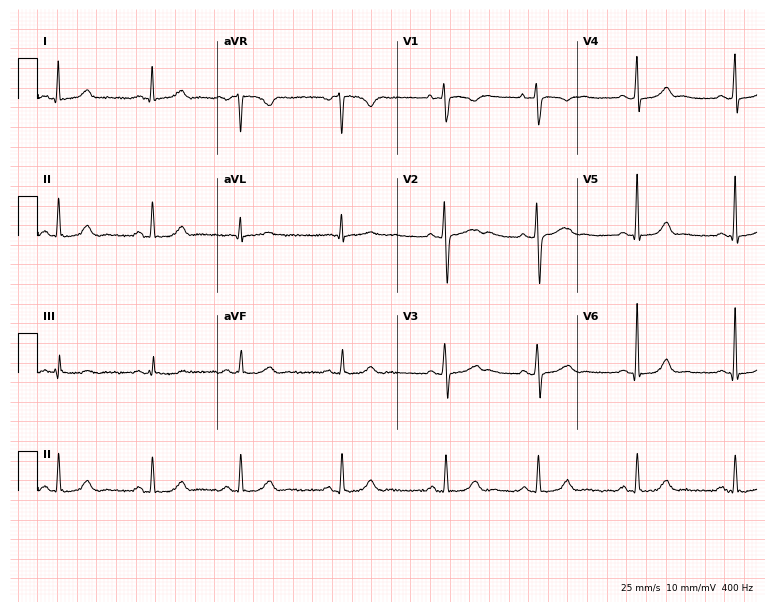
Resting 12-lead electrocardiogram. Patient: a female, 25 years old. Read as a normal ECG.